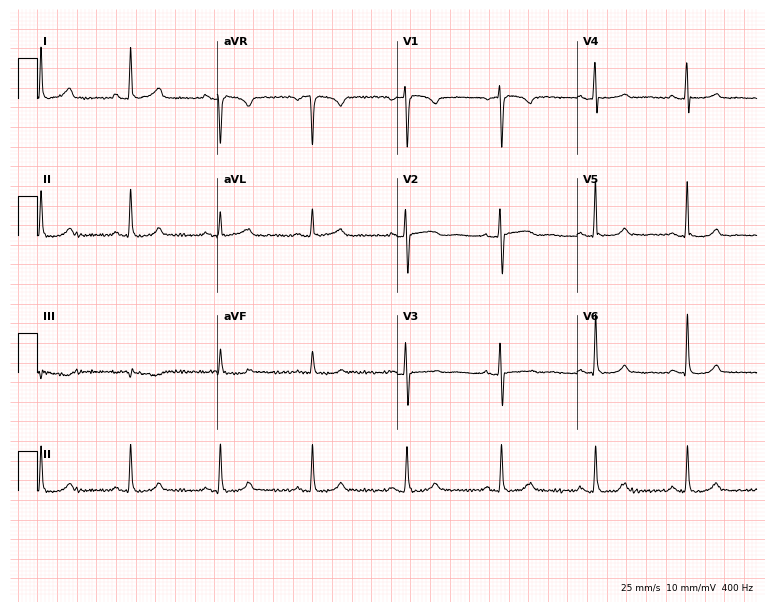
ECG (7.3-second recording at 400 Hz) — a 57-year-old female patient. Screened for six findings — first-degree AV block, right bundle branch block (RBBB), left bundle branch block (LBBB), sinus bradycardia, atrial fibrillation (AF), sinus tachycardia — none is recorded.